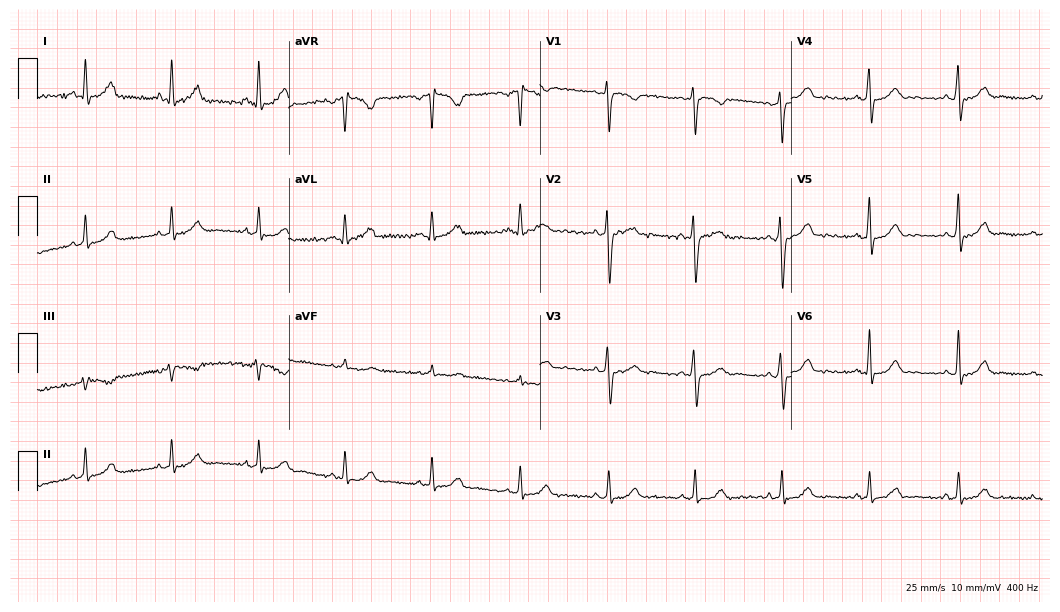
Electrocardiogram (10.2-second recording at 400 Hz), a 38-year-old female. Overall reading on record: normal ECG.